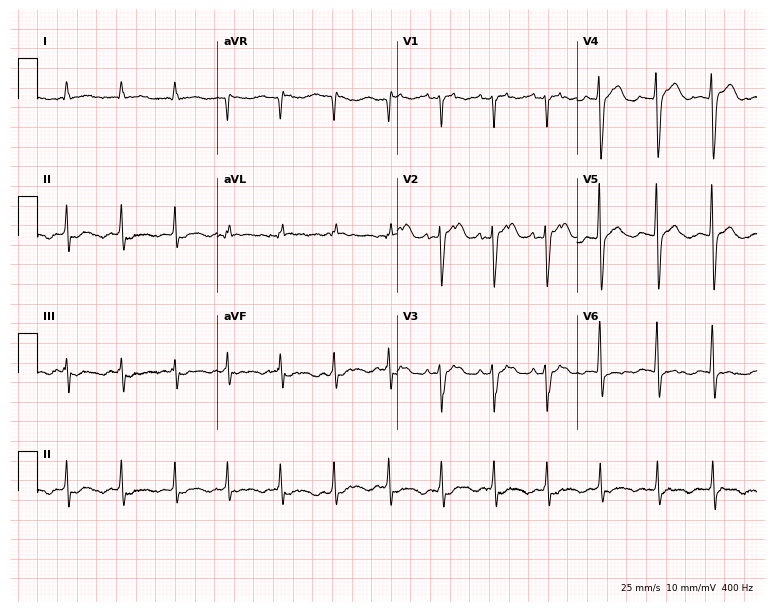
12-lead ECG from a man, 79 years old (7.3-second recording at 400 Hz). No first-degree AV block, right bundle branch block, left bundle branch block, sinus bradycardia, atrial fibrillation or sinus tachycardia recorded for this tracing. Other findings, if any, are not listed.